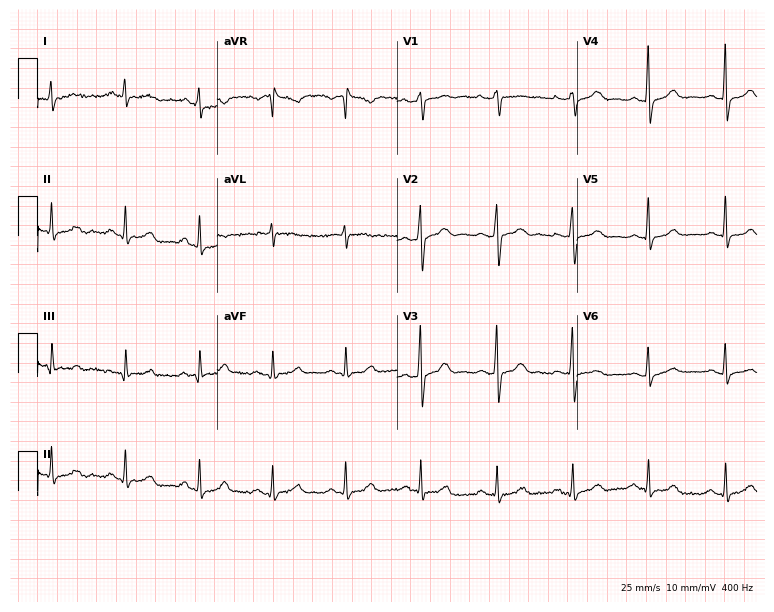
Standard 12-lead ECG recorded from a 56-year-old woman. None of these six findings is recorded: first-degree AV block, right bundle branch block (RBBB), left bundle branch block (LBBB), sinus bradycardia, atrial fibrillation (AF), sinus tachycardia. Other findings, if any, are not listed.